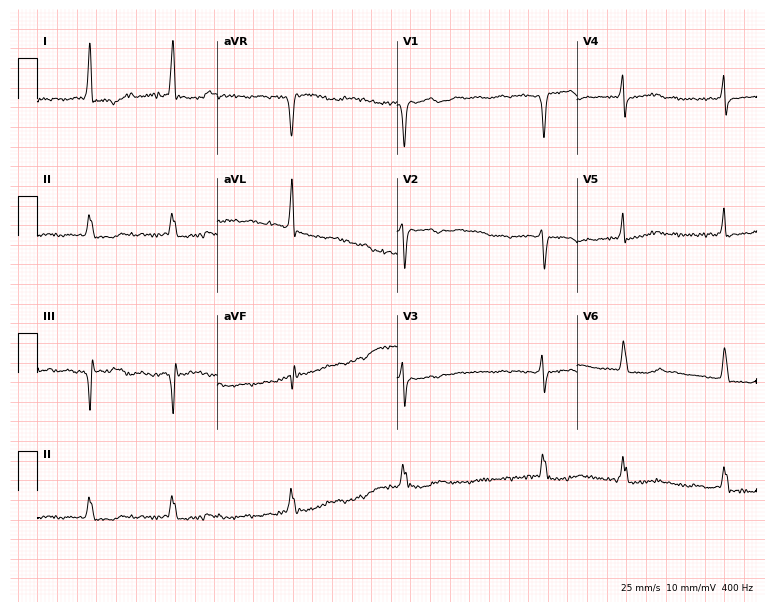
Electrocardiogram (7.3-second recording at 400 Hz), a female patient, 65 years old. Interpretation includes atrial fibrillation.